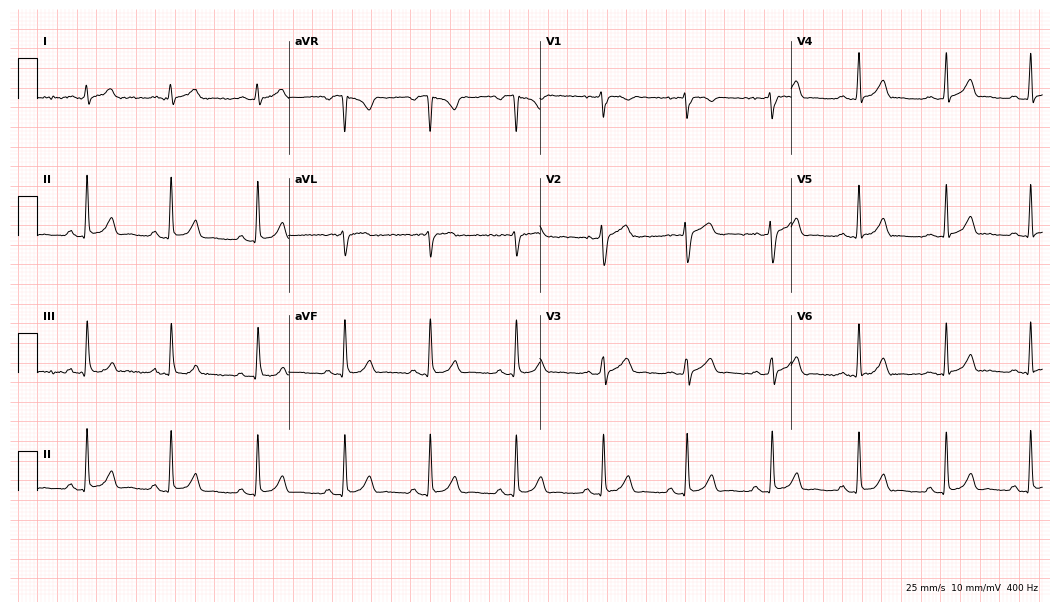
Standard 12-lead ECG recorded from a 33-year-old woman (10.2-second recording at 400 Hz). Read as a normal ECG.